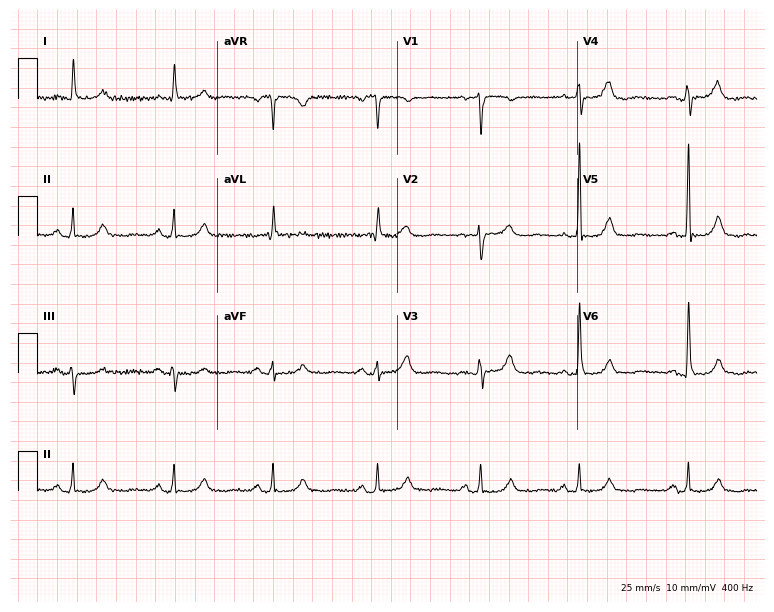
12-lead ECG from a woman, 72 years old (7.3-second recording at 400 Hz). No first-degree AV block, right bundle branch block, left bundle branch block, sinus bradycardia, atrial fibrillation or sinus tachycardia recorded for this tracing.